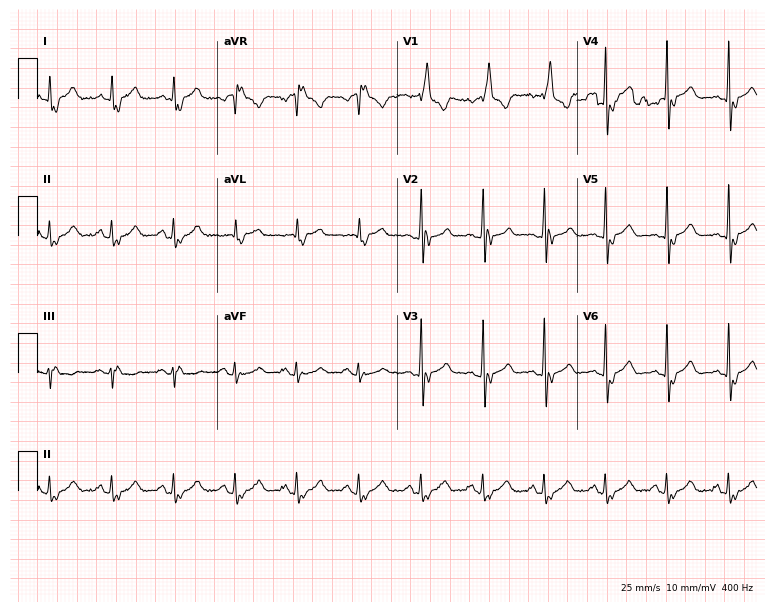
12-lead ECG (7.3-second recording at 400 Hz) from a 61-year-old man. Findings include right bundle branch block (RBBB).